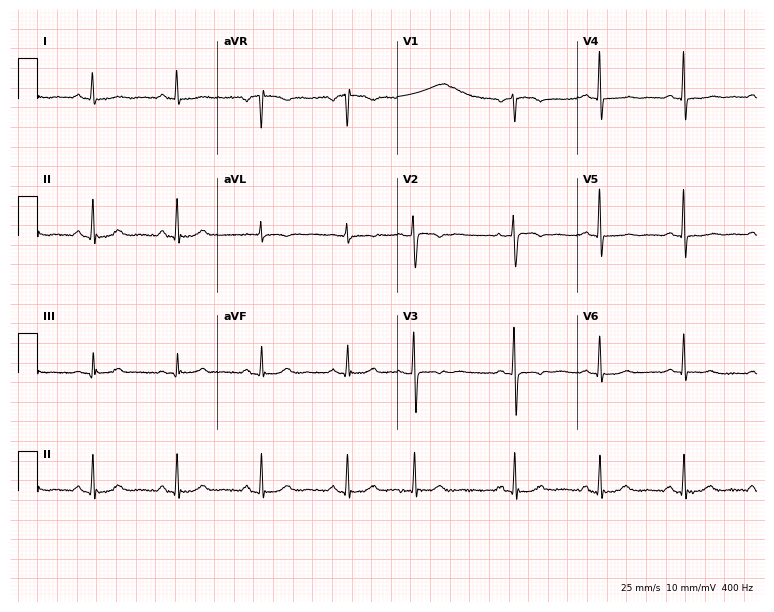
Standard 12-lead ECG recorded from a 73-year-old woman. None of these six findings is recorded: first-degree AV block, right bundle branch block (RBBB), left bundle branch block (LBBB), sinus bradycardia, atrial fibrillation (AF), sinus tachycardia. Other findings, if any, are not listed.